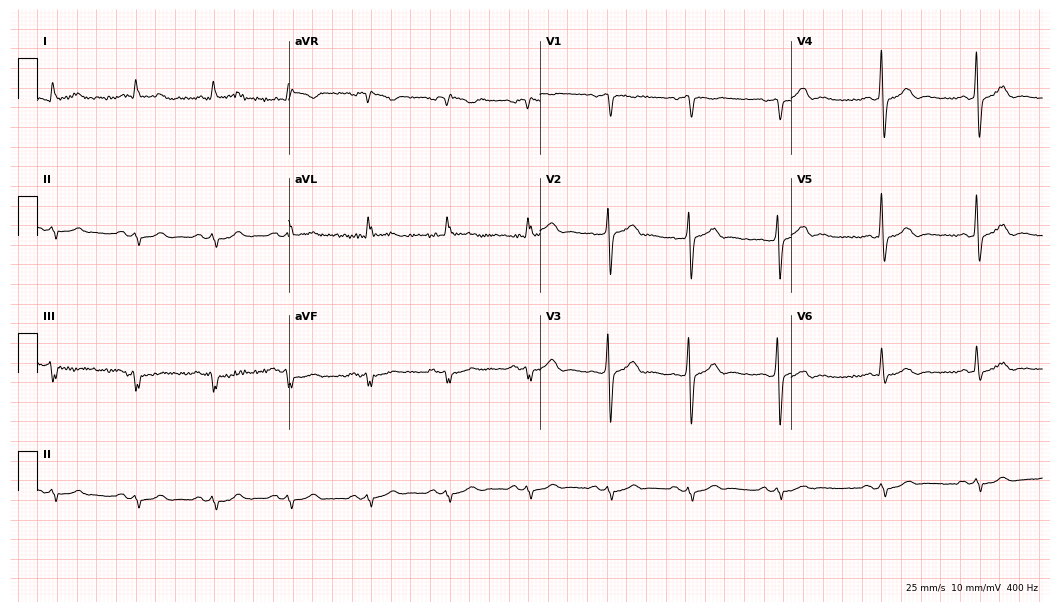
Electrocardiogram, a 68-year-old male patient. Of the six screened findings (first-degree AV block, right bundle branch block (RBBB), left bundle branch block (LBBB), sinus bradycardia, atrial fibrillation (AF), sinus tachycardia), none is recorded.